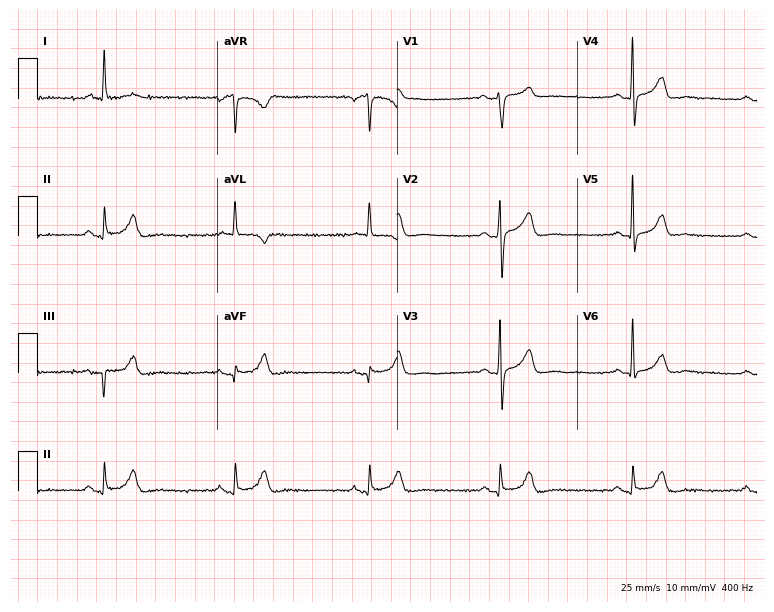
Resting 12-lead electrocardiogram. Patient: a 67-year-old male. The tracing shows sinus bradycardia (a sinus rate of 50 beats per minute or less).